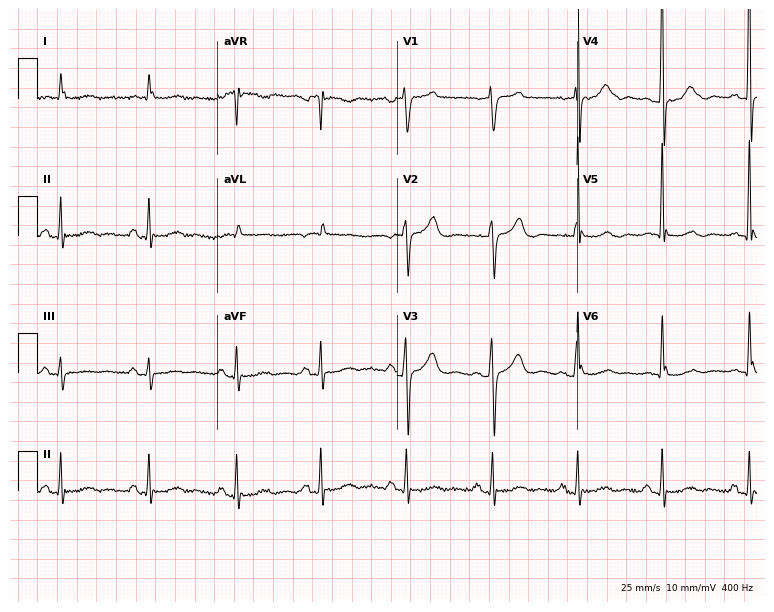
Electrocardiogram, an 84-year-old male. Of the six screened findings (first-degree AV block, right bundle branch block, left bundle branch block, sinus bradycardia, atrial fibrillation, sinus tachycardia), none is recorded. Other findings, if any, are not listed.